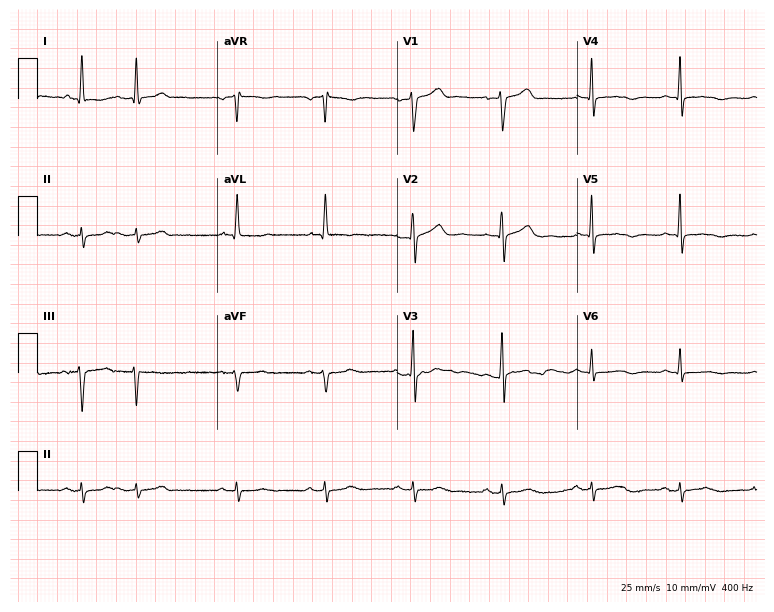
Electrocardiogram, a 75-year-old man. Of the six screened findings (first-degree AV block, right bundle branch block, left bundle branch block, sinus bradycardia, atrial fibrillation, sinus tachycardia), none is recorded. Findings outside these six are not listed.